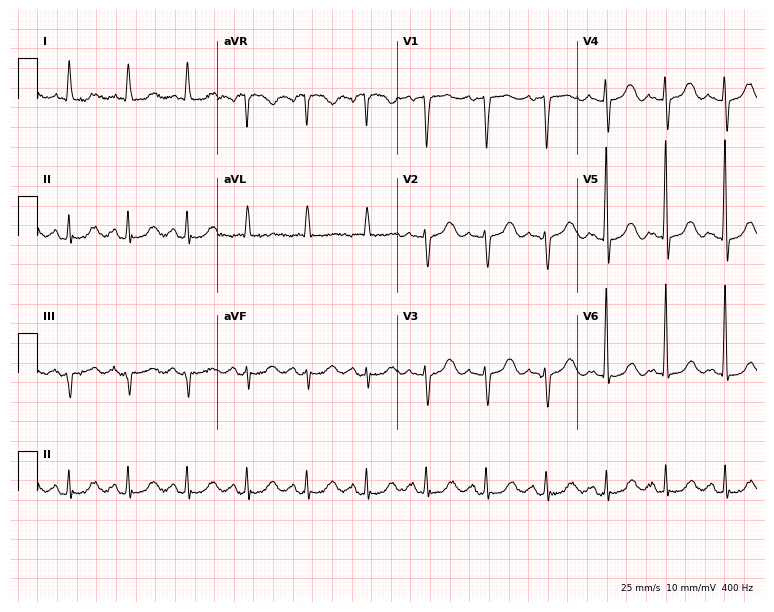
12-lead ECG from a female patient, 70 years old (7.3-second recording at 400 Hz). No first-degree AV block, right bundle branch block (RBBB), left bundle branch block (LBBB), sinus bradycardia, atrial fibrillation (AF) or sinus tachycardia recorded for this tracing. Findings outside these six are not listed.